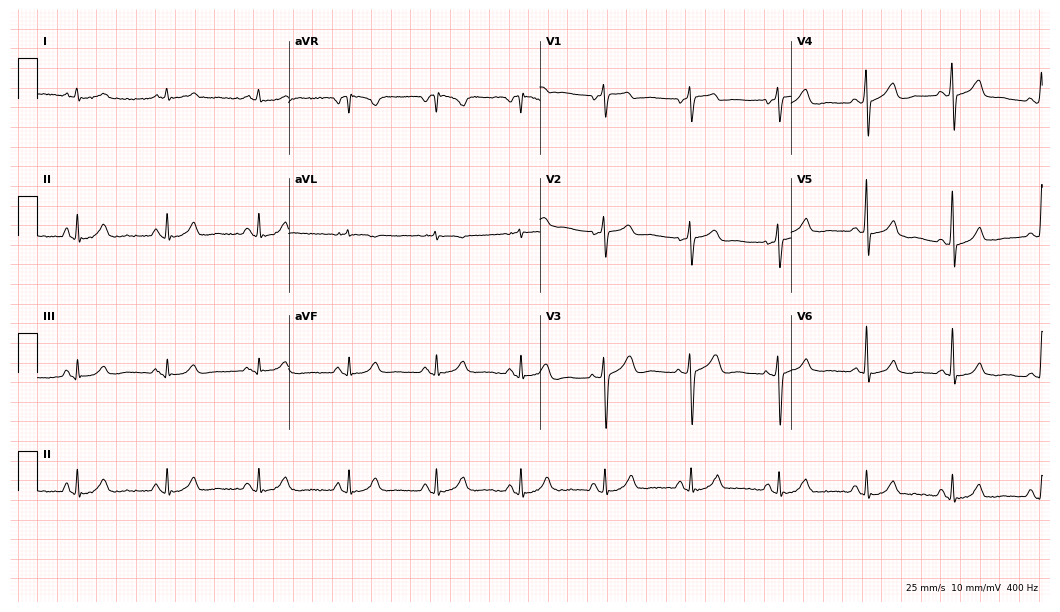
12-lead ECG from a 65-year-old male patient (10.2-second recording at 400 Hz). Recorded interpretation: within normal limits.